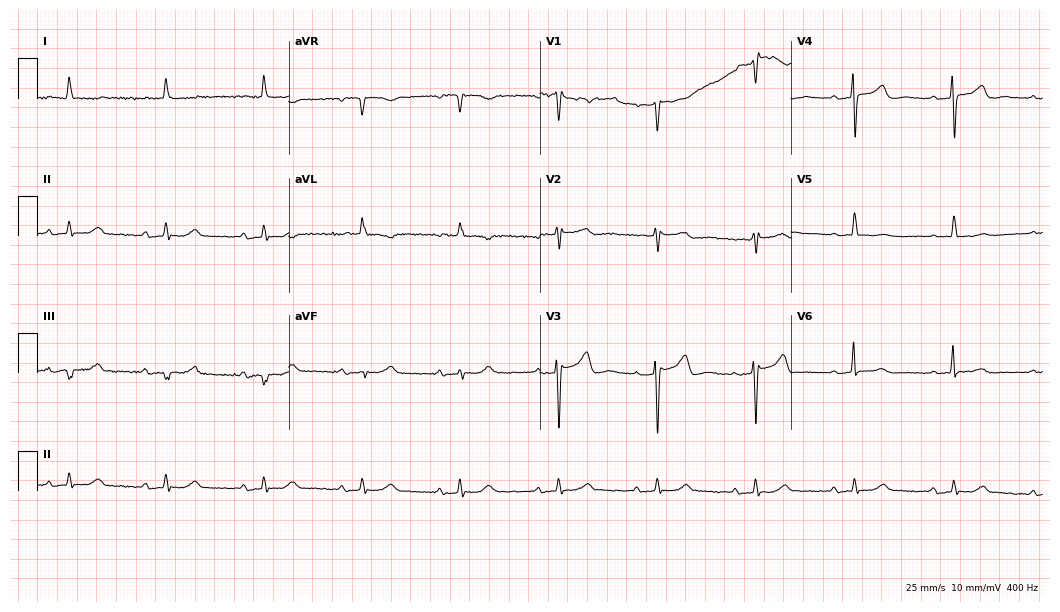
Standard 12-lead ECG recorded from a 78-year-old woman. None of these six findings is recorded: first-degree AV block, right bundle branch block, left bundle branch block, sinus bradycardia, atrial fibrillation, sinus tachycardia. Only these six findings were labelled.